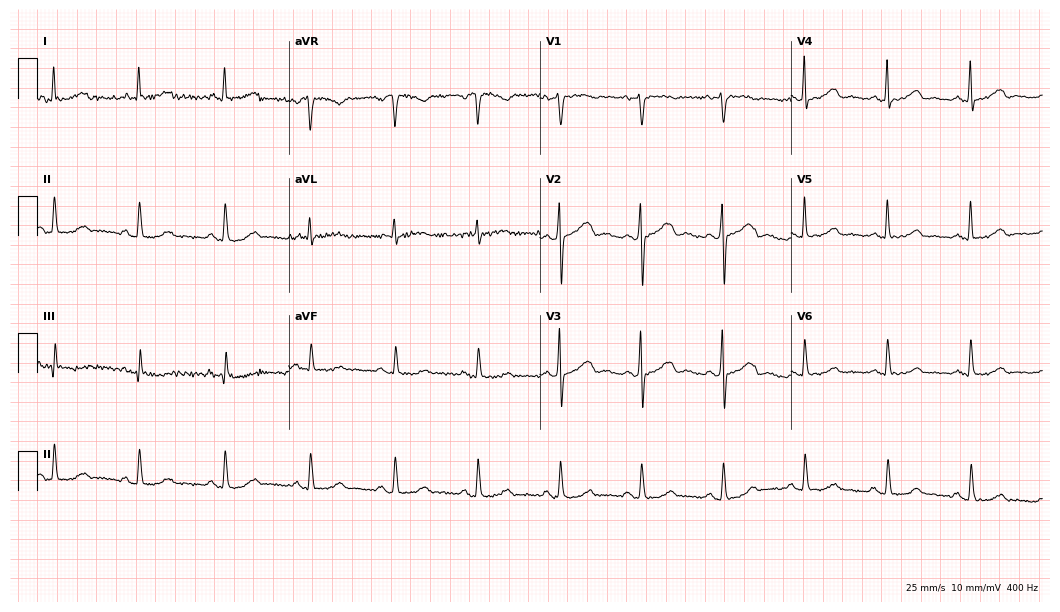
Electrocardiogram (10.2-second recording at 400 Hz), a woman, 54 years old. Of the six screened findings (first-degree AV block, right bundle branch block, left bundle branch block, sinus bradycardia, atrial fibrillation, sinus tachycardia), none is recorded. Other findings, if any, are not listed.